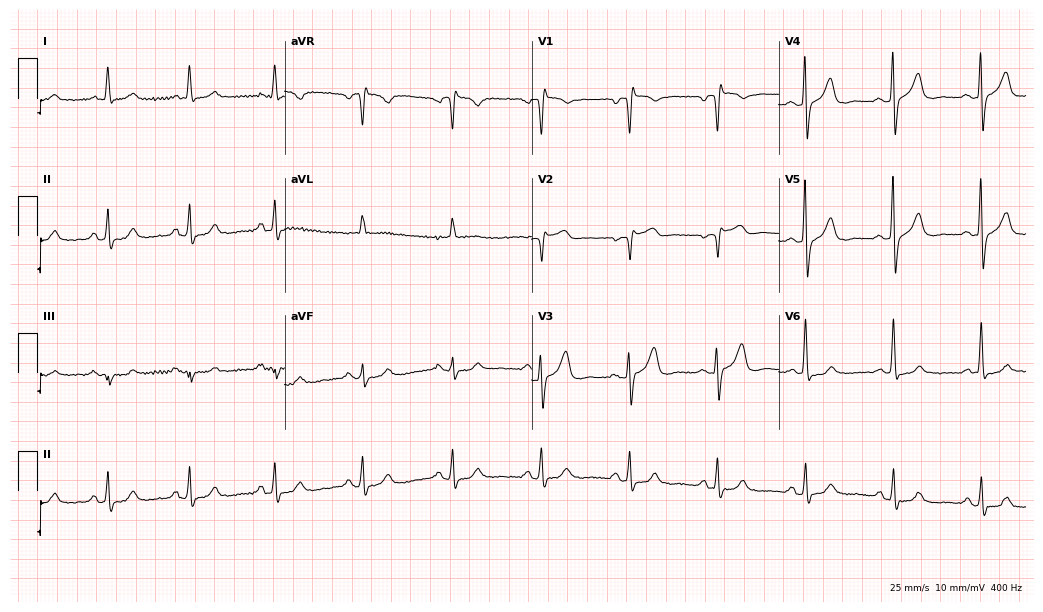
Standard 12-lead ECG recorded from a man, 73 years old (10.1-second recording at 400 Hz). Read as a normal ECG.